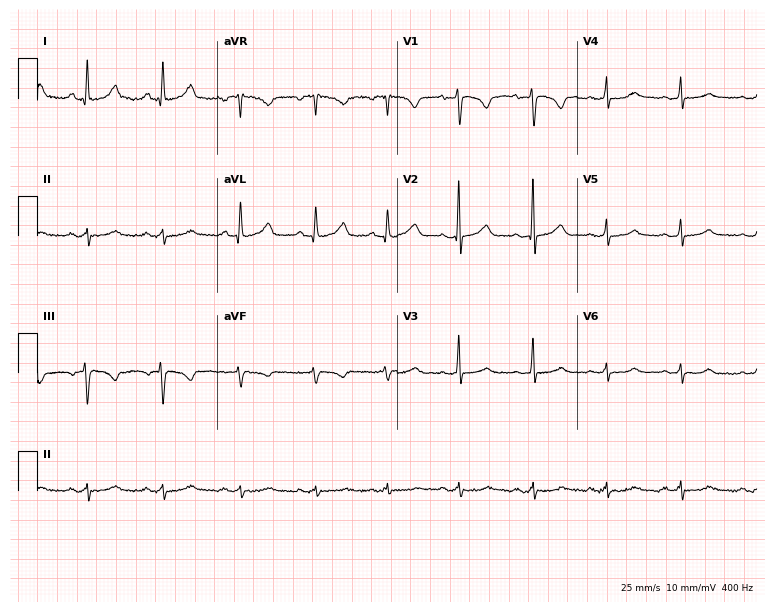
Standard 12-lead ECG recorded from a female patient, 25 years old (7.3-second recording at 400 Hz). None of these six findings is recorded: first-degree AV block, right bundle branch block, left bundle branch block, sinus bradycardia, atrial fibrillation, sinus tachycardia.